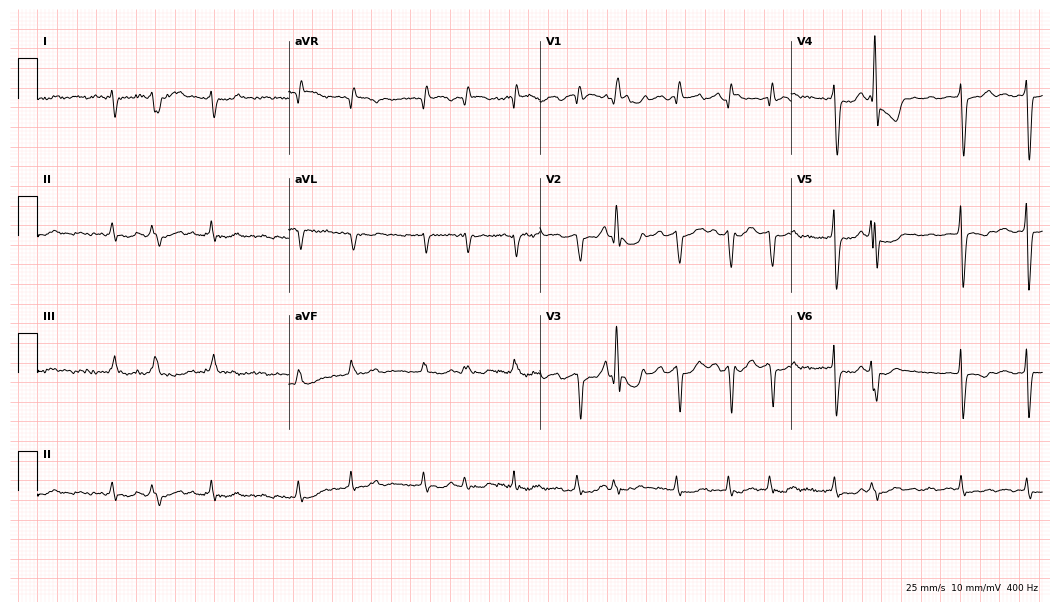
Standard 12-lead ECG recorded from a 67-year-old woman. The tracing shows atrial fibrillation.